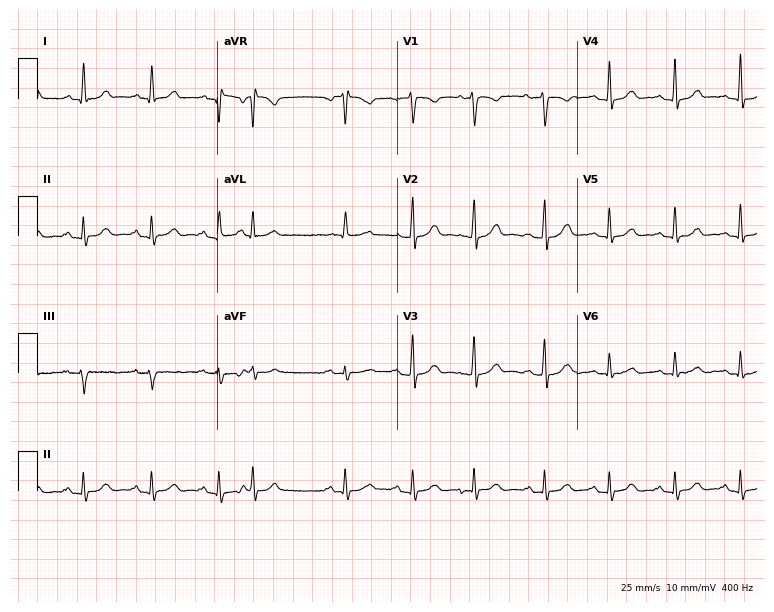
Resting 12-lead electrocardiogram. Patient: a 55-year-old female. None of these six findings is recorded: first-degree AV block, right bundle branch block, left bundle branch block, sinus bradycardia, atrial fibrillation, sinus tachycardia.